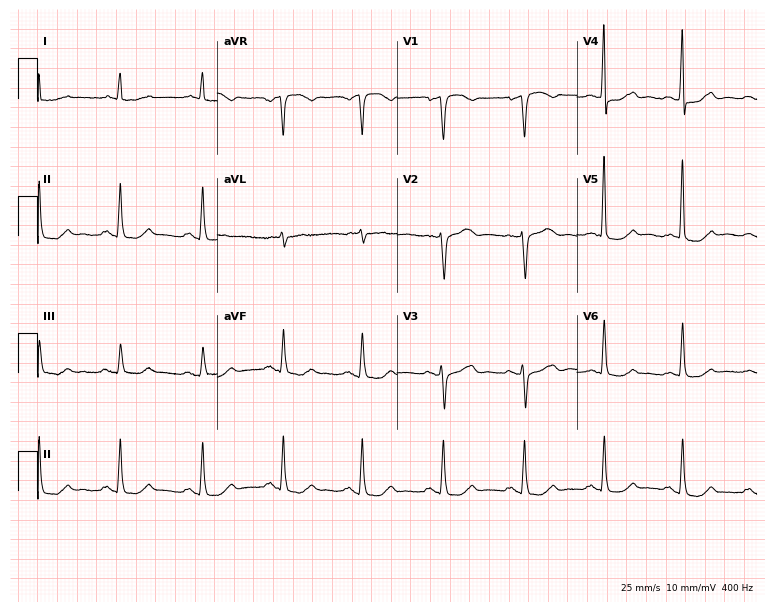
12-lead ECG from a woman, 52 years old. No first-degree AV block, right bundle branch block, left bundle branch block, sinus bradycardia, atrial fibrillation or sinus tachycardia recorded for this tracing. Only these six findings were labelled.